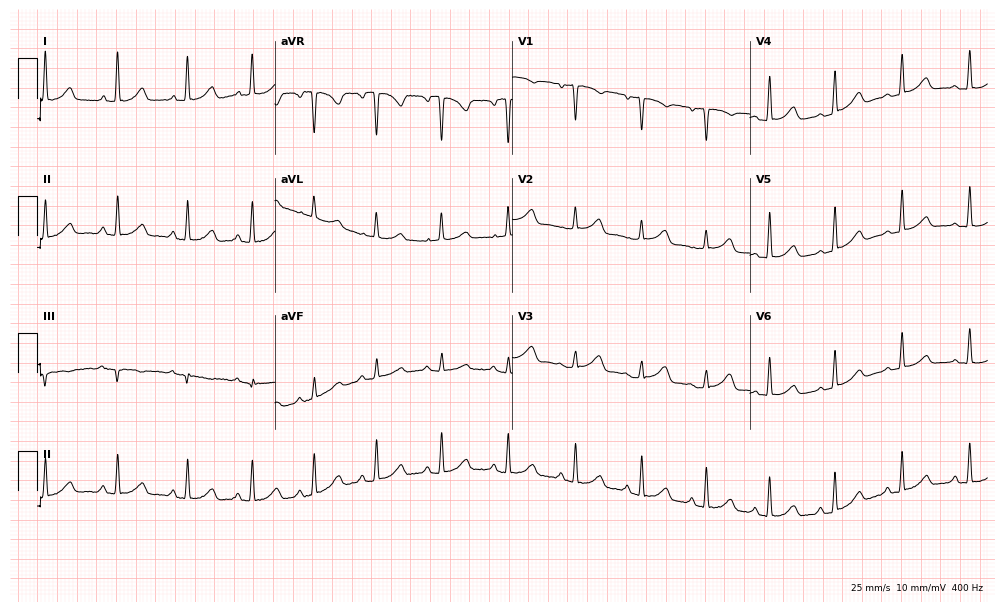
Resting 12-lead electrocardiogram. Patient: a woman, 54 years old. None of these six findings is recorded: first-degree AV block, right bundle branch block, left bundle branch block, sinus bradycardia, atrial fibrillation, sinus tachycardia.